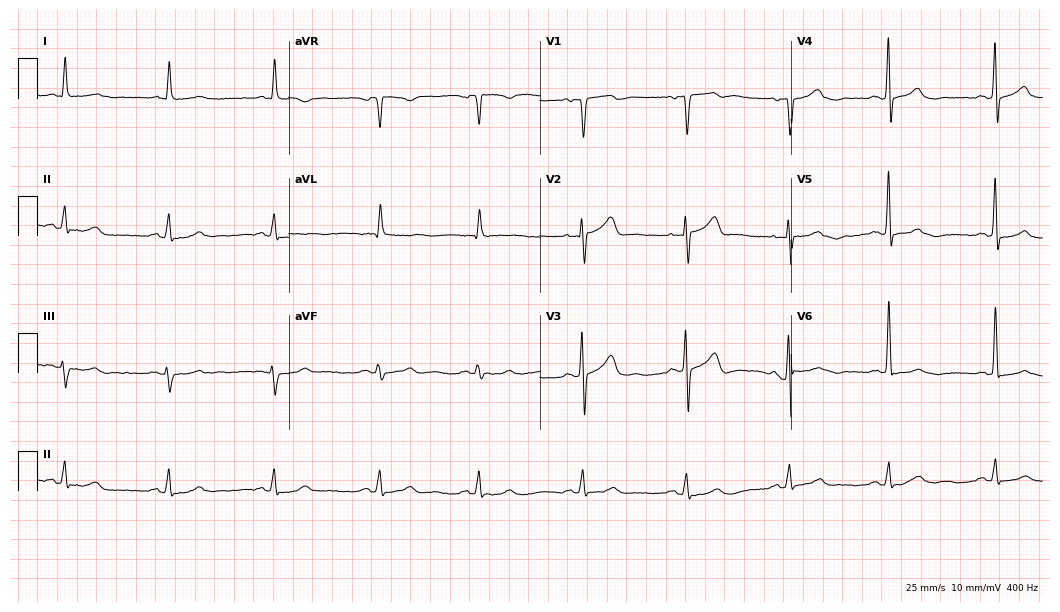
Electrocardiogram (10.2-second recording at 400 Hz), a 74-year-old man. Overall reading on record: normal ECG.